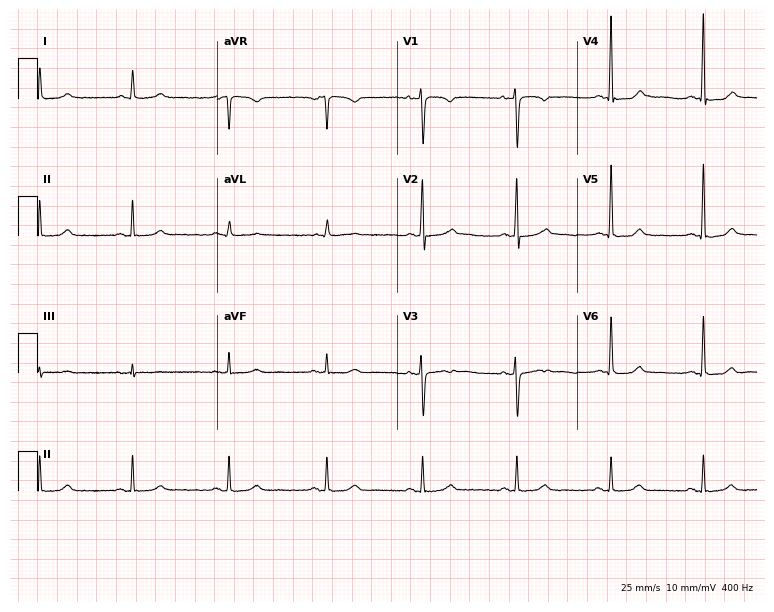
Standard 12-lead ECG recorded from a 49-year-old female patient. Read as a normal ECG.